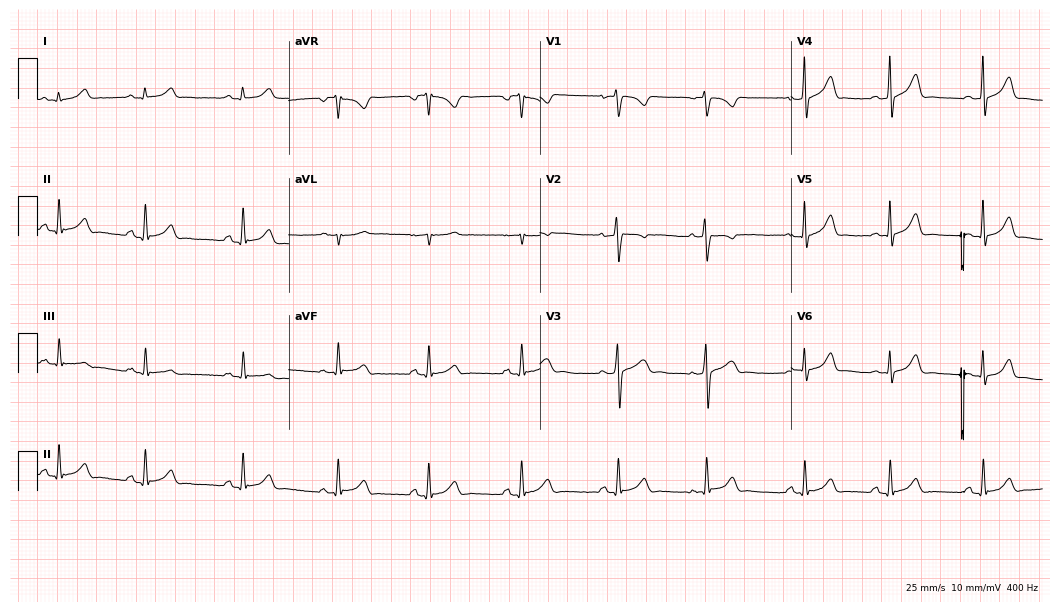
Standard 12-lead ECG recorded from a 17-year-old woman. None of these six findings is recorded: first-degree AV block, right bundle branch block (RBBB), left bundle branch block (LBBB), sinus bradycardia, atrial fibrillation (AF), sinus tachycardia. Findings outside these six are not listed.